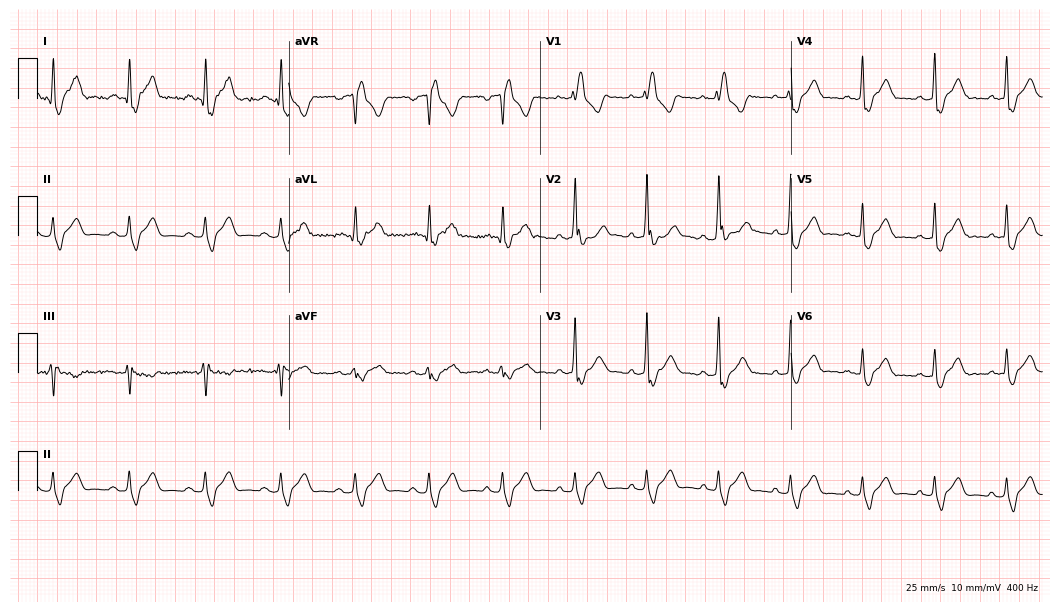
ECG (10.2-second recording at 400 Hz) — a 40-year-old male patient. Findings include right bundle branch block.